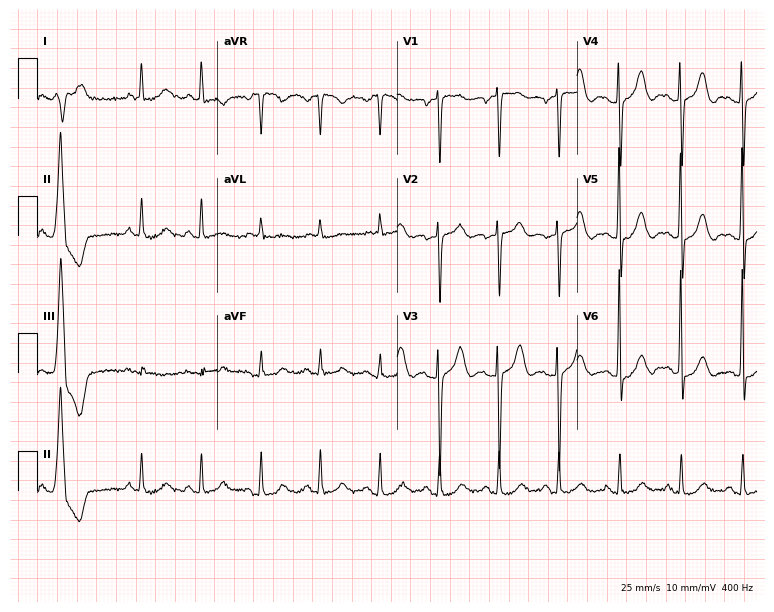
12-lead ECG from an 86-year-old woman (7.3-second recording at 400 Hz). No first-degree AV block, right bundle branch block, left bundle branch block, sinus bradycardia, atrial fibrillation or sinus tachycardia recorded for this tracing. Only these six findings were labelled.